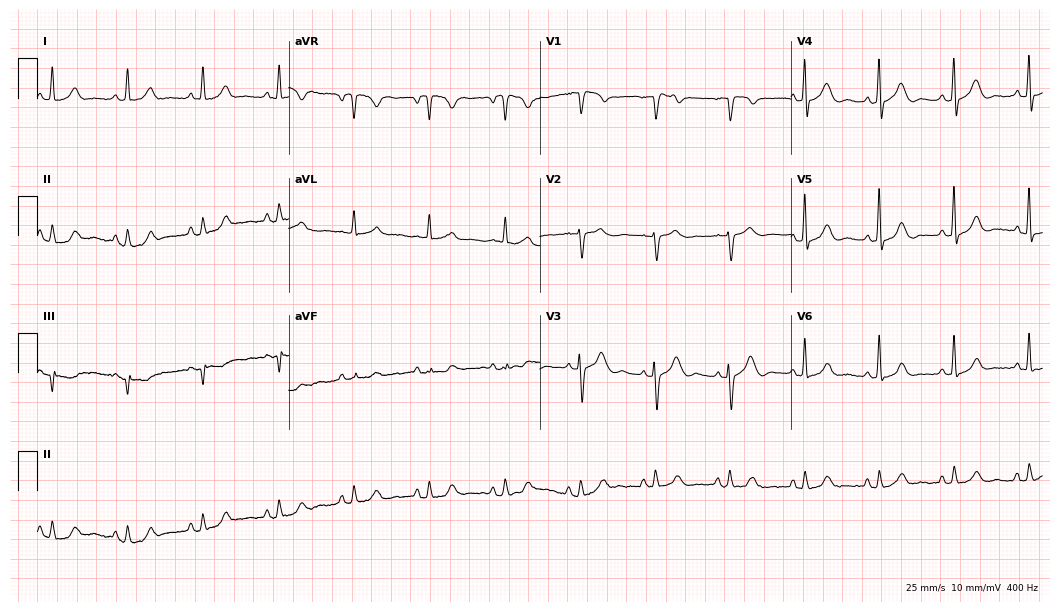
12-lead ECG from an 82-year-old female patient. Screened for six findings — first-degree AV block, right bundle branch block, left bundle branch block, sinus bradycardia, atrial fibrillation, sinus tachycardia — none is recorded.